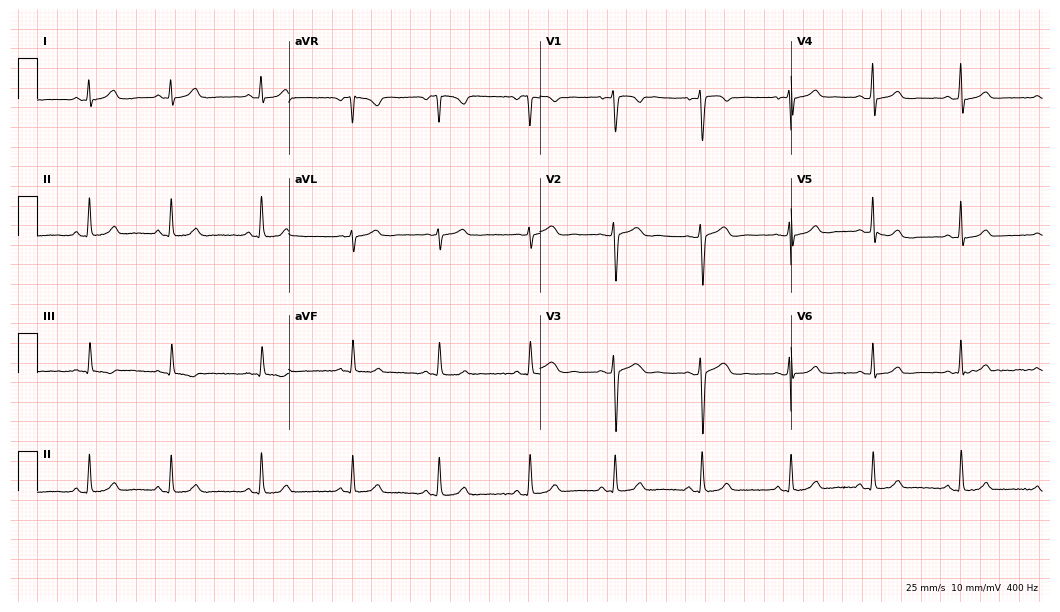
12-lead ECG (10.2-second recording at 400 Hz) from a 21-year-old female patient. Labelled as a normal ECG.